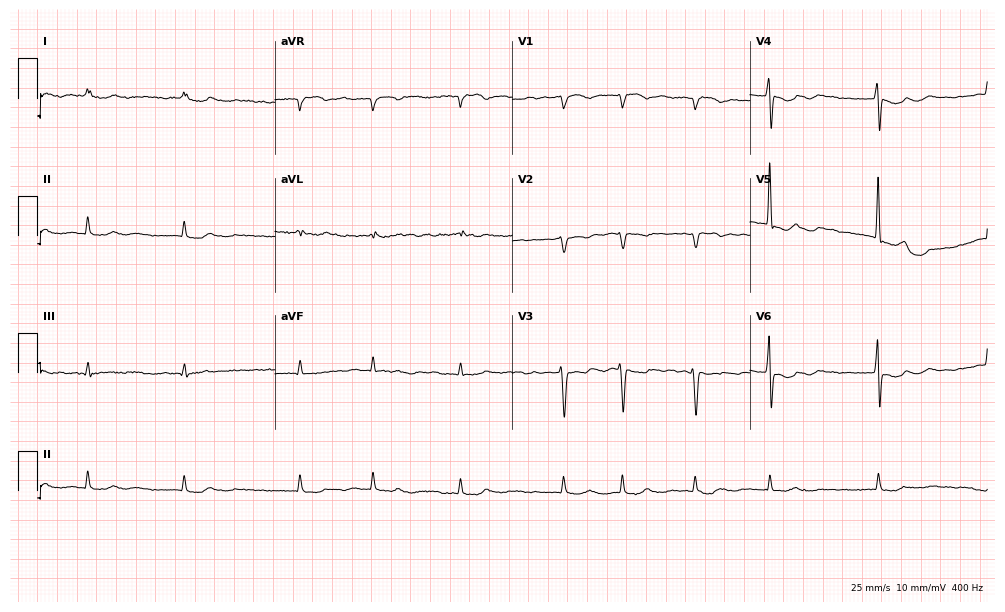
Resting 12-lead electrocardiogram. Patient: a male, 85 years old. The tracing shows atrial fibrillation.